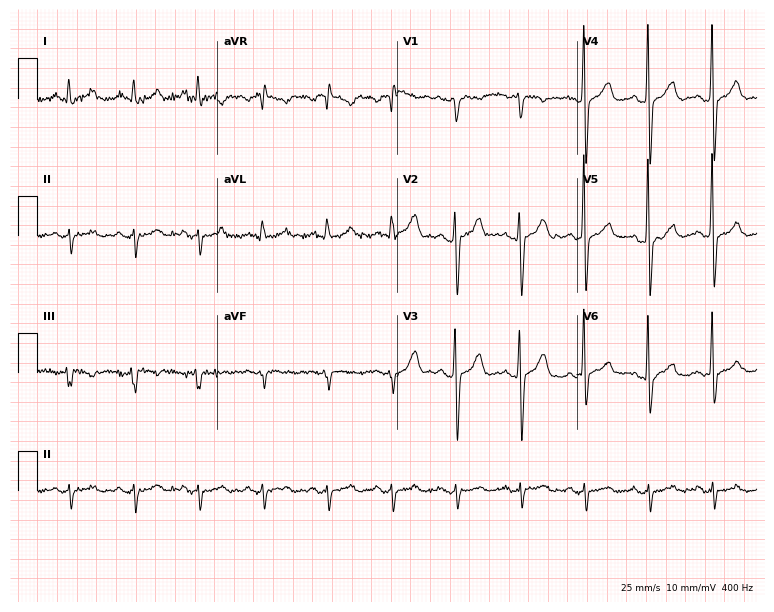
Resting 12-lead electrocardiogram (7.3-second recording at 400 Hz). Patient: a 50-year-old male. None of these six findings is recorded: first-degree AV block, right bundle branch block, left bundle branch block, sinus bradycardia, atrial fibrillation, sinus tachycardia.